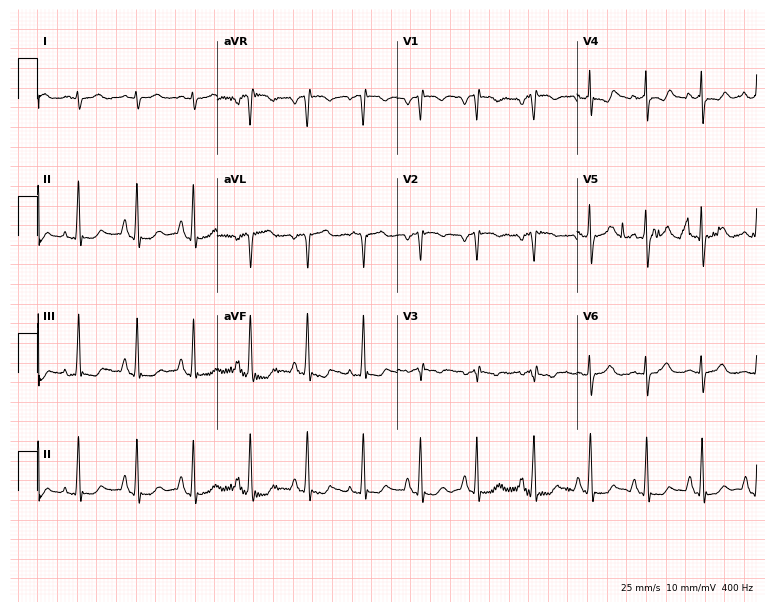
12-lead ECG from an 80-year-old male. Shows sinus tachycardia (a sinus rate of 100 beats per minute or more).